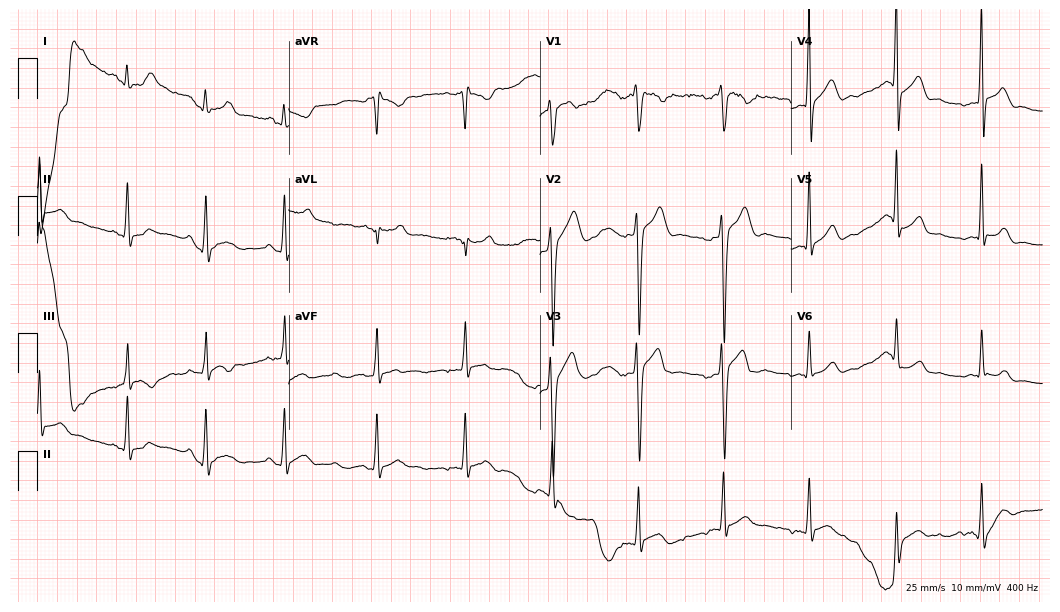
Resting 12-lead electrocardiogram (10.2-second recording at 400 Hz). Patient: a 20-year-old man. Read as a normal ECG.